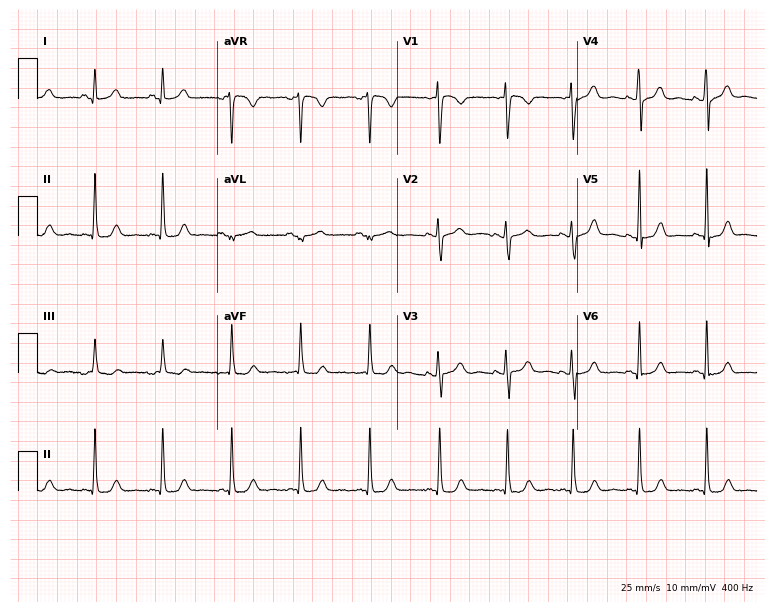
Standard 12-lead ECG recorded from a female, 19 years old (7.3-second recording at 400 Hz). Read as a normal ECG.